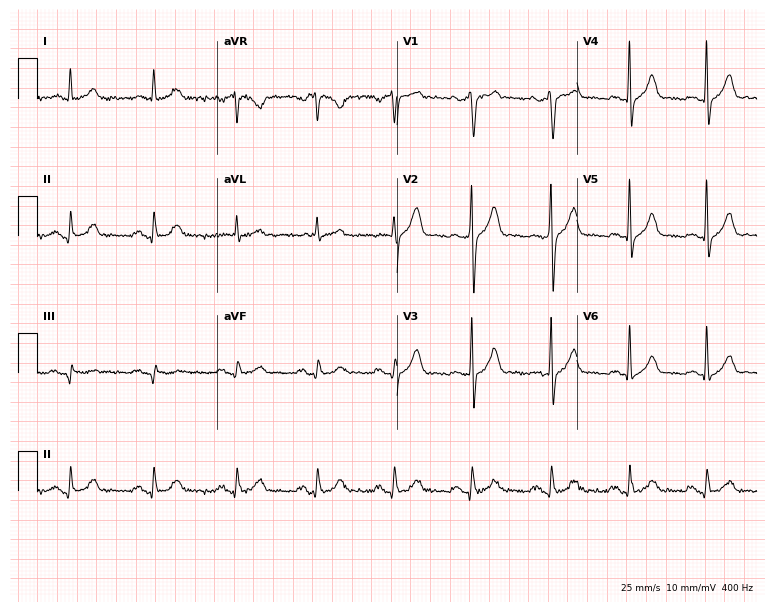
ECG — a 52-year-old man. Labelled as a normal ECG.